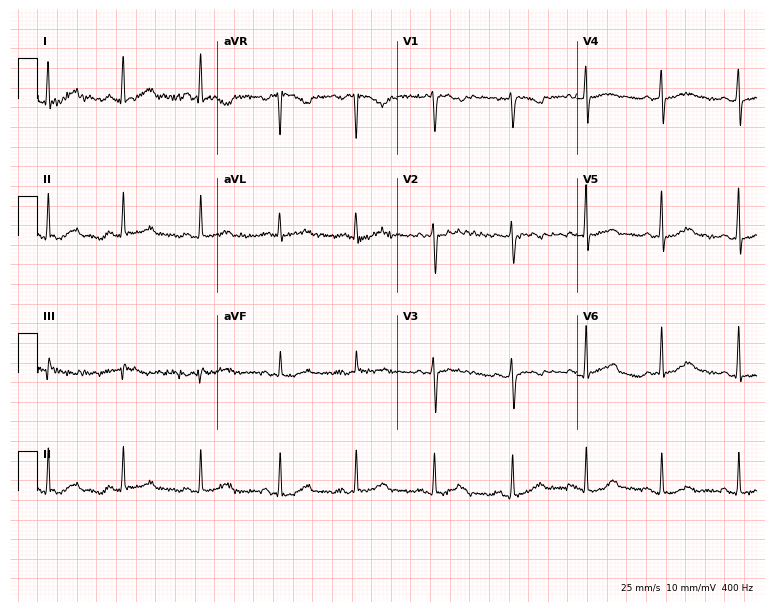
Standard 12-lead ECG recorded from a 44-year-old woman (7.3-second recording at 400 Hz). Read as a normal ECG.